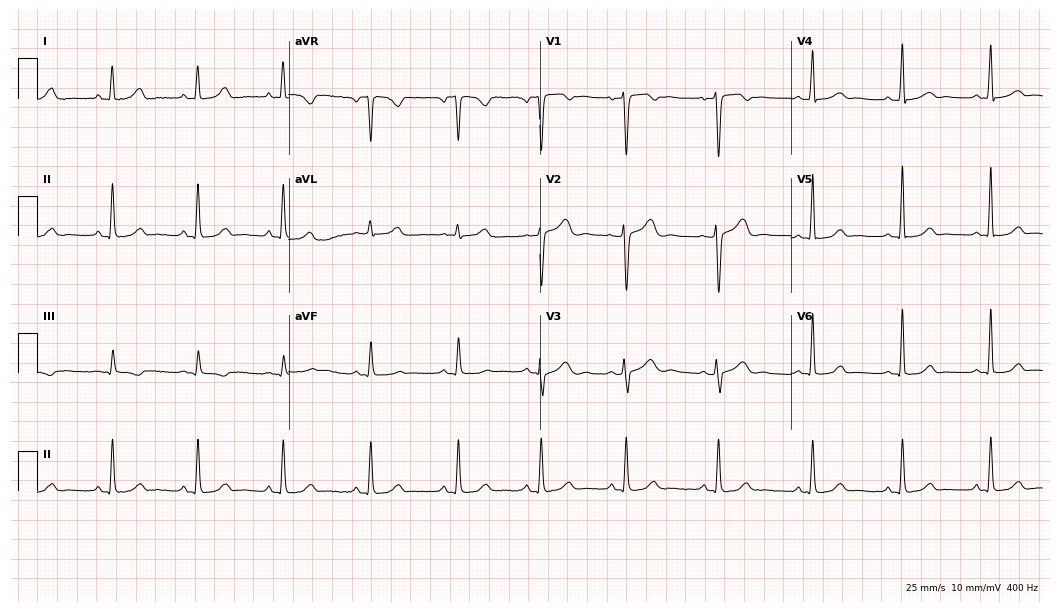
Standard 12-lead ECG recorded from a woman, 43 years old. Read as a normal ECG.